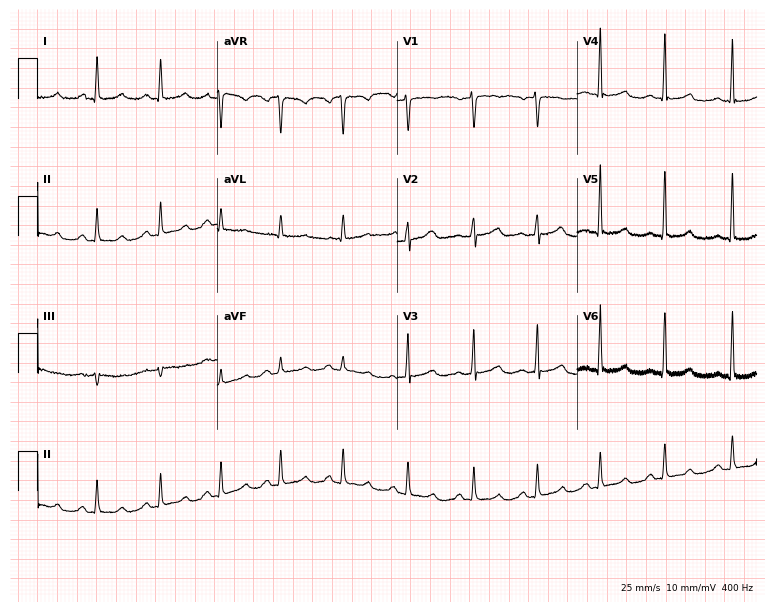
12-lead ECG from a woman, 42 years old (7.3-second recording at 400 Hz). No first-degree AV block, right bundle branch block, left bundle branch block, sinus bradycardia, atrial fibrillation or sinus tachycardia recorded for this tracing.